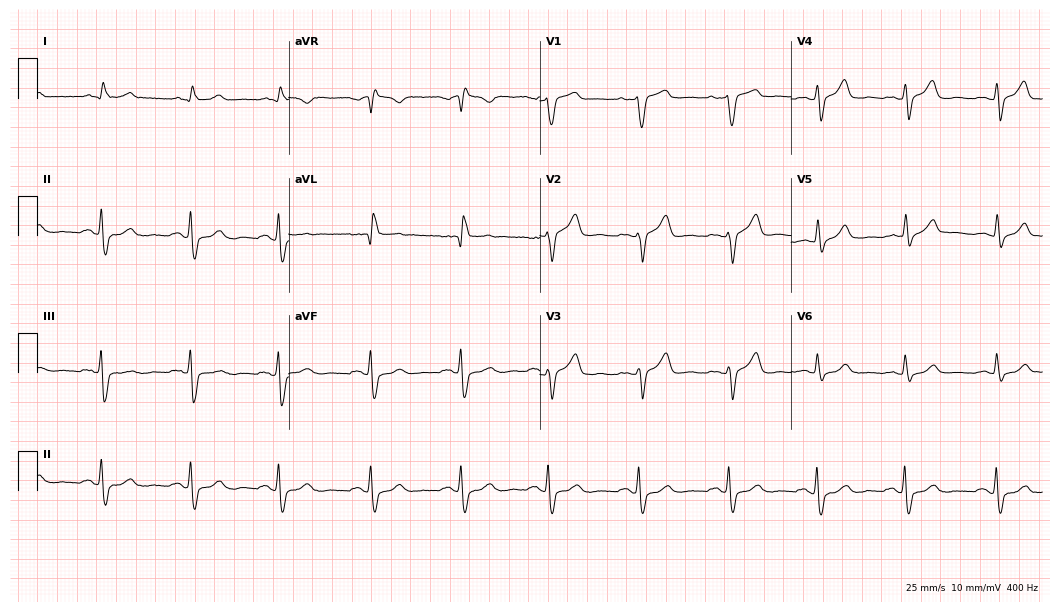
Electrocardiogram (10.2-second recording at 400 Hz), a 74-year-old male patient. Interpretation includes left bundle branch block.